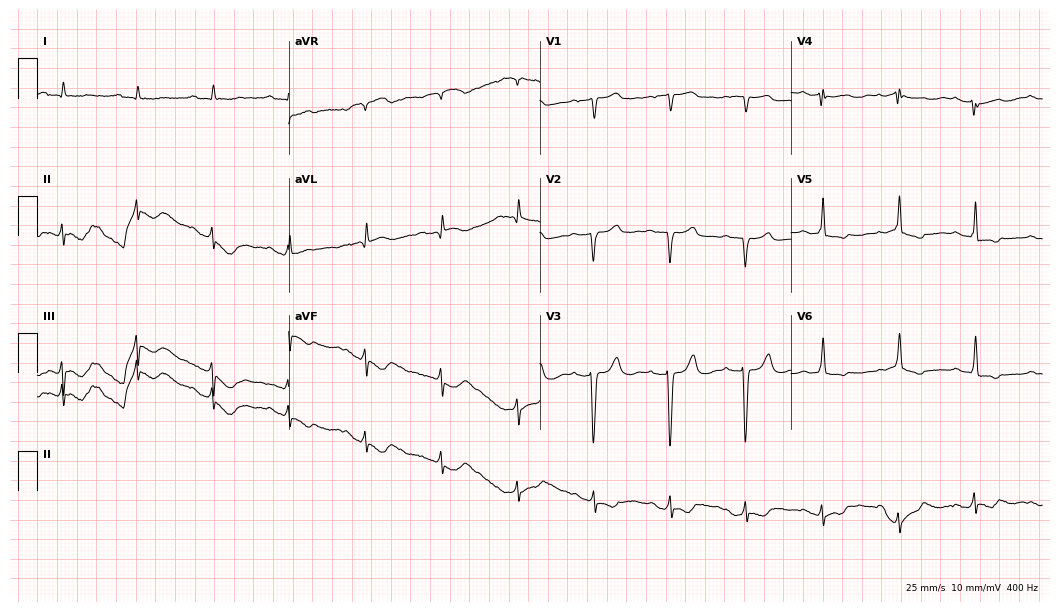
12-lead ECG from a 65-year-old male patient (10.2-second recording at 400 Hz). No first-degree AV block, right bundle branch block (RBBB), left bundle branch block (LBBB), sinus bradycardia, atrial fibrillation (AF) or sinus tachycardia recorded for this tracing. Findings outside these six are not listed.